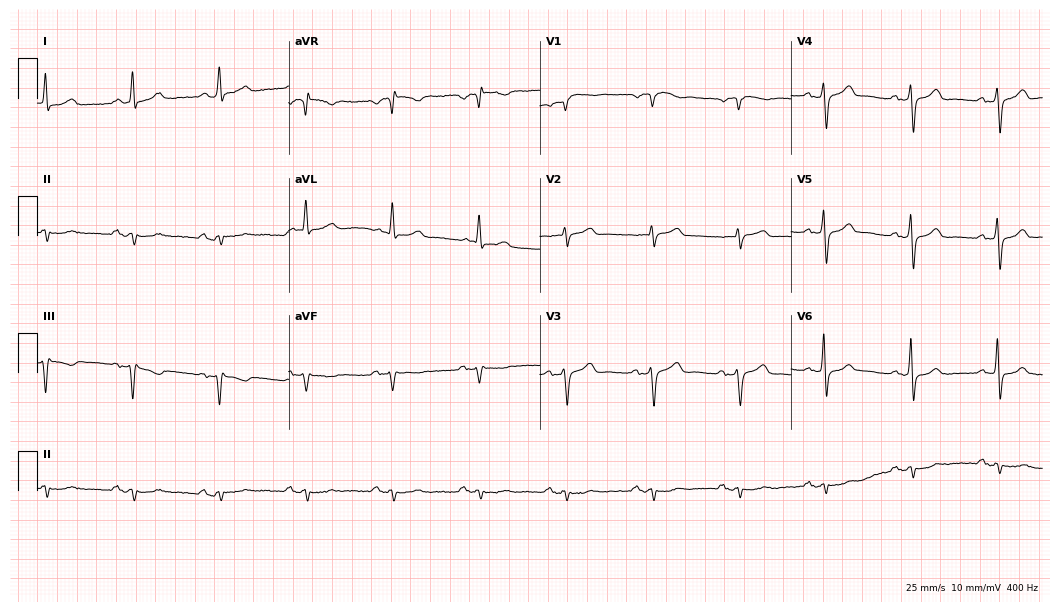
Resting 12-lead electrocardiogram (10.2-second recording at 400 Hz). Patient: a 64-year-old male. None of these six findings is recorded: first-degree AV block, right bundle branch block, left bundle branch block, sinus bradycardia, atrial fibrillation, sinus tachycardia. Only these six findings were labelled.